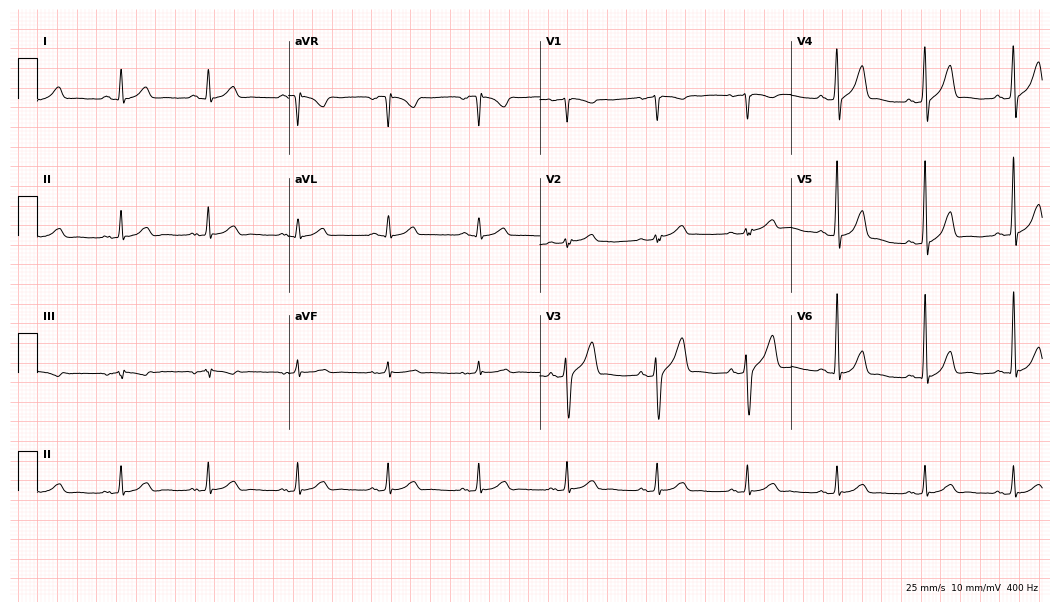
Electrocardiogram (10.2-second recording at 400 Hz), a 54-year-old male patient. Overall reading on record: normal ECG.